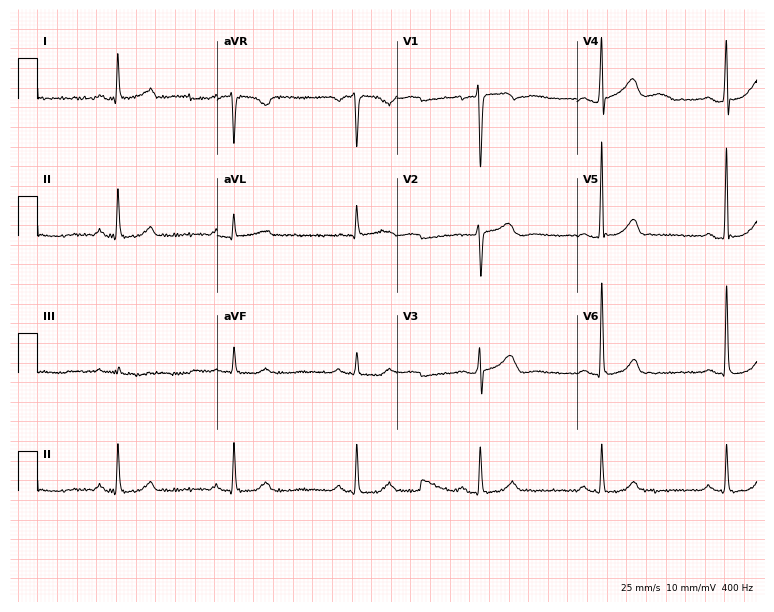
Standard 12-lead ECG recorded from a 55-year-old male (7.3-second recording at 400 Hz). The tracing shows first-degree AV block, right bundle branch block.